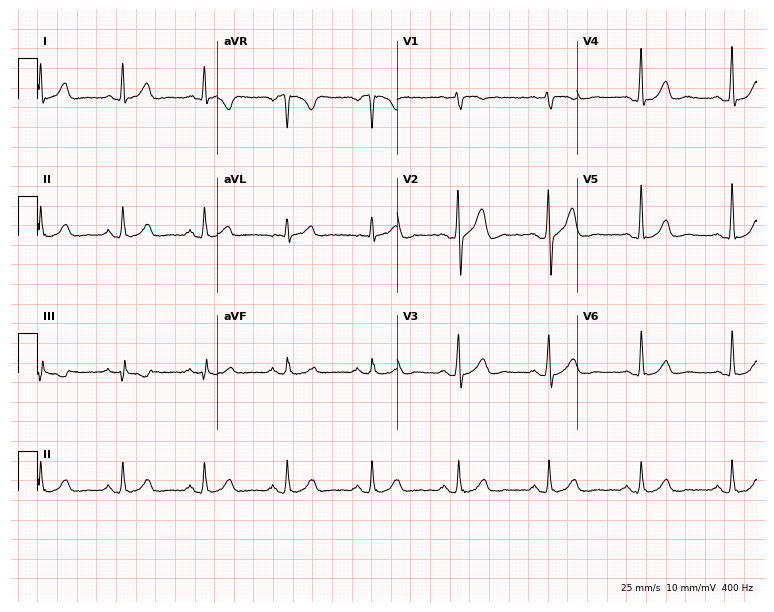
Electrocardiogram, a 47-year-old female patient. Overall reading on record: normal ECG.